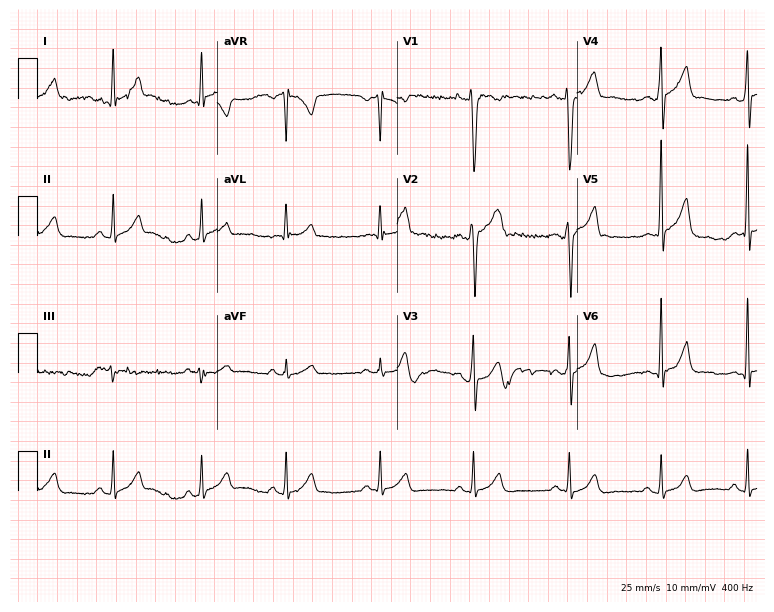
ECG (7.3-second recording at 400 Hz) — a male patient, 21 years old. Screened for six findings — first-degree AV block, right bundle branch block (RBBB), left bundle branch block (LBBB), sinus bradycardia, atrial fibrillation (AF), sinus tachycardia — none is recorded.